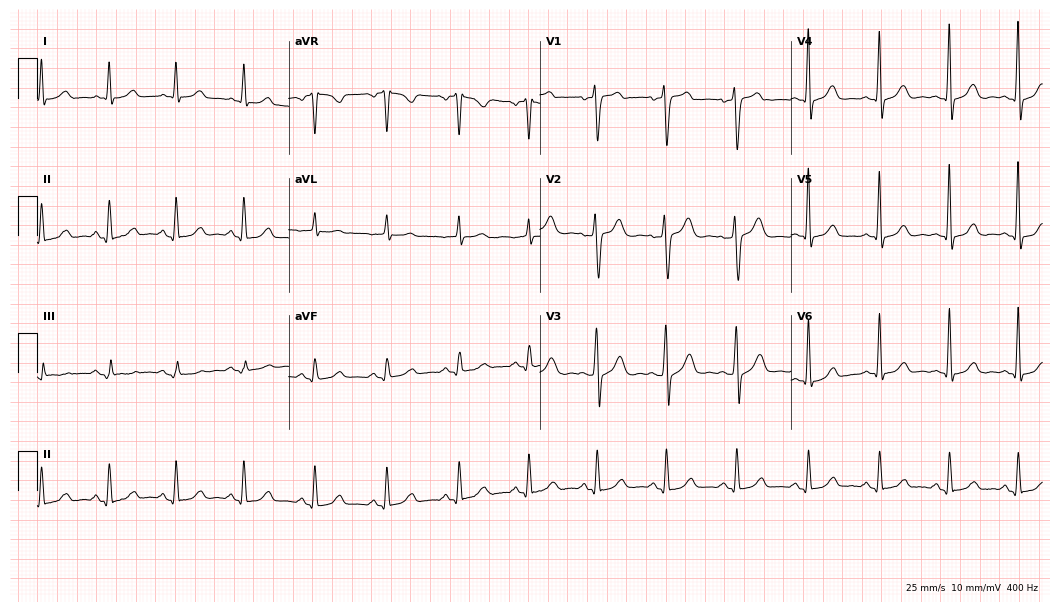
12-lead ECG from a 52-year-old female patient. Labelled as a normal ECG.